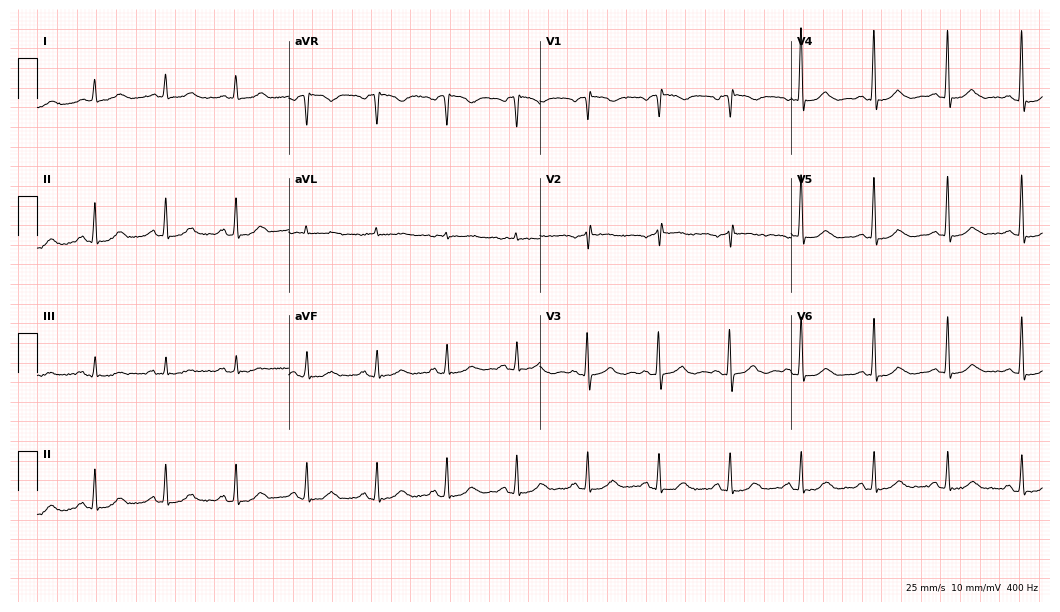
ECG (10.2-second recording at 400 Hz) — a female, 78 years old. Labelled as a normal ECG.